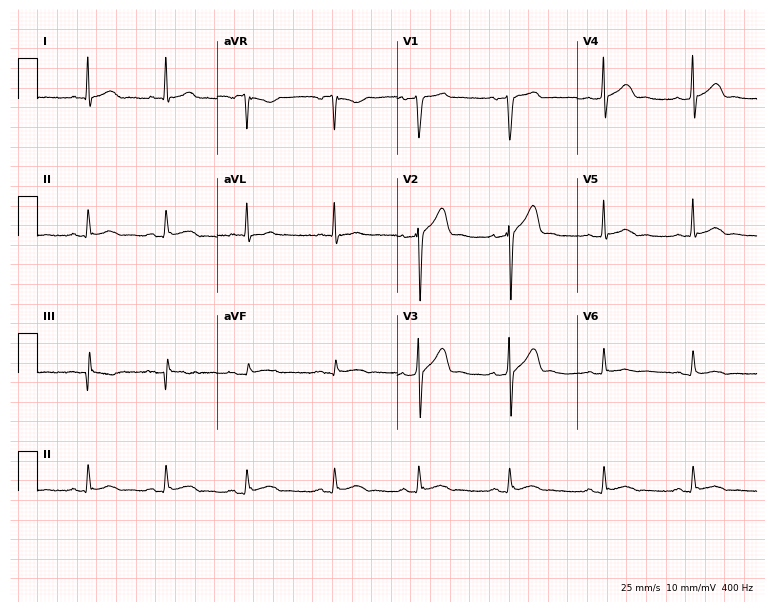
12-lead ECG from a male patient, 26 years old. Labelled as a normal ECG.